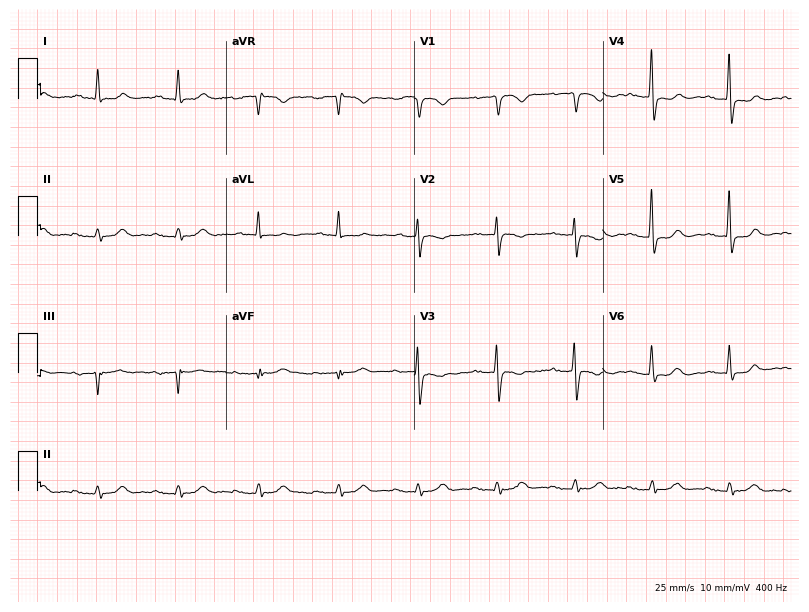
ECG — a 79-year-old male patient. Findings include first-degree AV block.